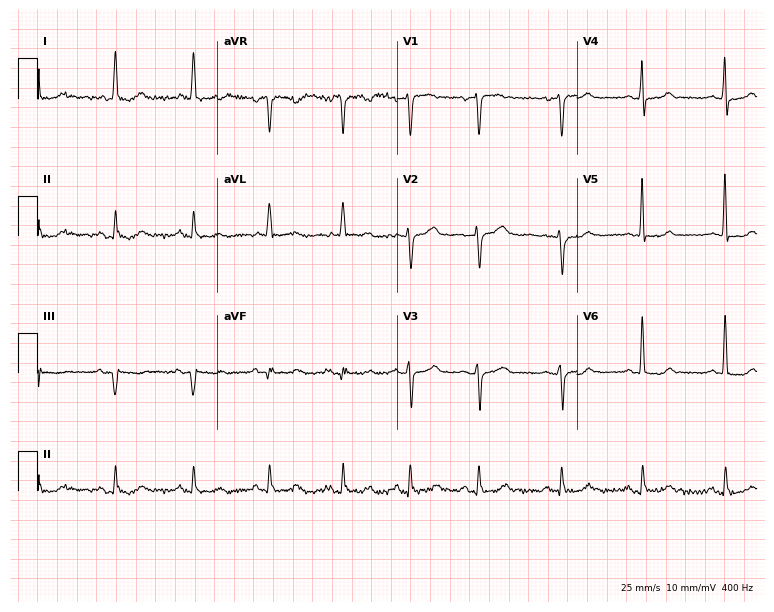
Resting 12-lead electrocardiogram (7.3-second recording at 400 Hz). Patient: a woman, 51 years old. Read as a normal ECG.